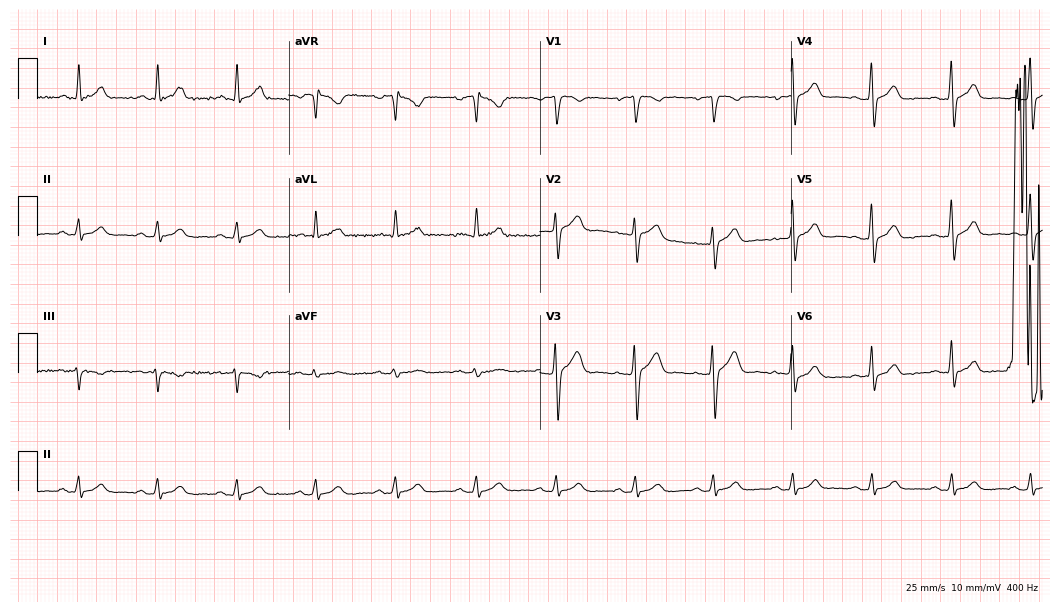
12-lead ECG from a 50-year-old male patient (10.2-second recording at 400 Hz). Recorded interpretation: within normal limits.